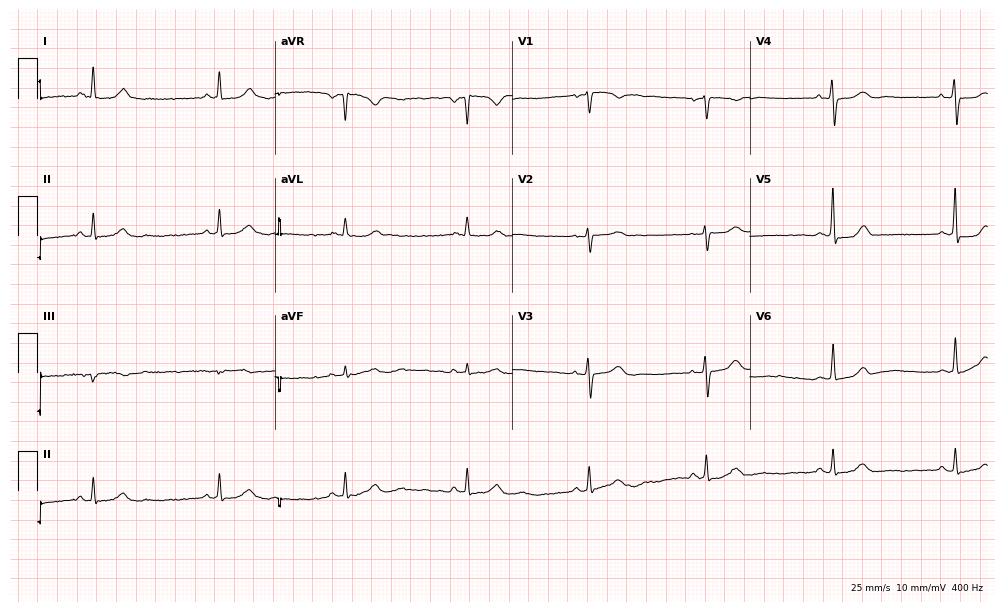
Resting 12-lead electrocardiogram (9.7-second recording at 400 Hz). Patient: a 59-year-old female. The tracing shows sinus bradycardia (a sinus rate of 50 beats per minute or less).